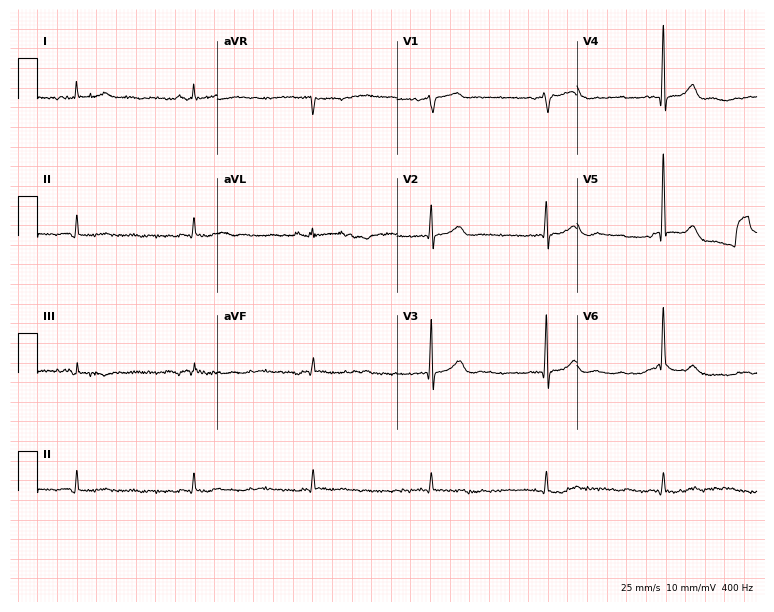
Standard 12-lead ECG recorded from a male, 80 years old (7.3-second recording at 400 Hz). None of these six findings is recorded: first-degree AV block, right bundle branch block, left bundle branch block, sinus bradycardia, atrial fibrillation, sinus tachycardia. Only these six findings were labelled.